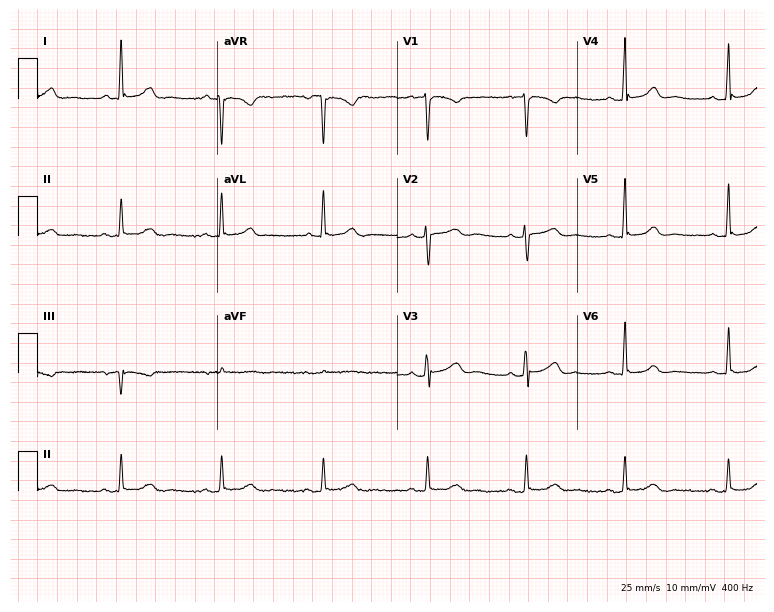
Standard 12-lead ECG recorded from a female patient, 56 years old (7.3-second recording at 400 Hz). Read as a normal ECG.